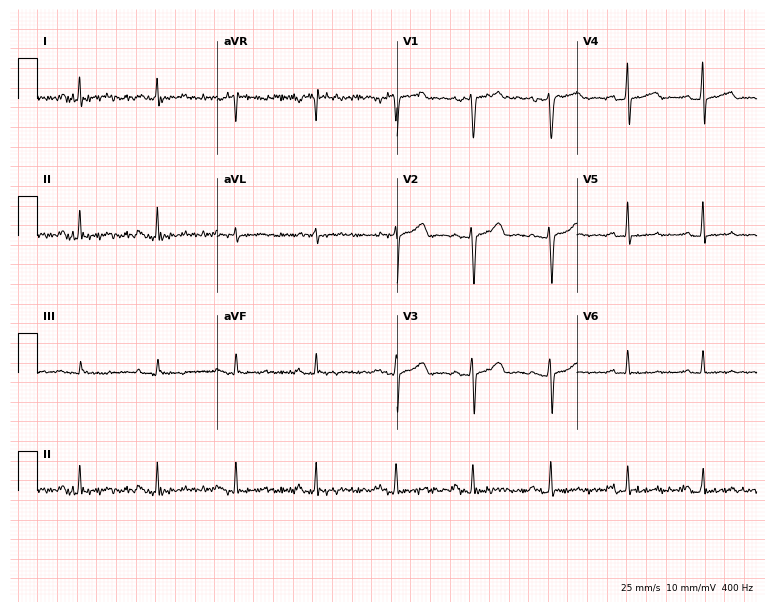
12-lead ECG from a female, 42 years old. No first-degree AV block, right bundle branch block, left bundle branch block, sinus bradycardia, atrial fibrillation or sinus tachycardia recorded for this tracing.